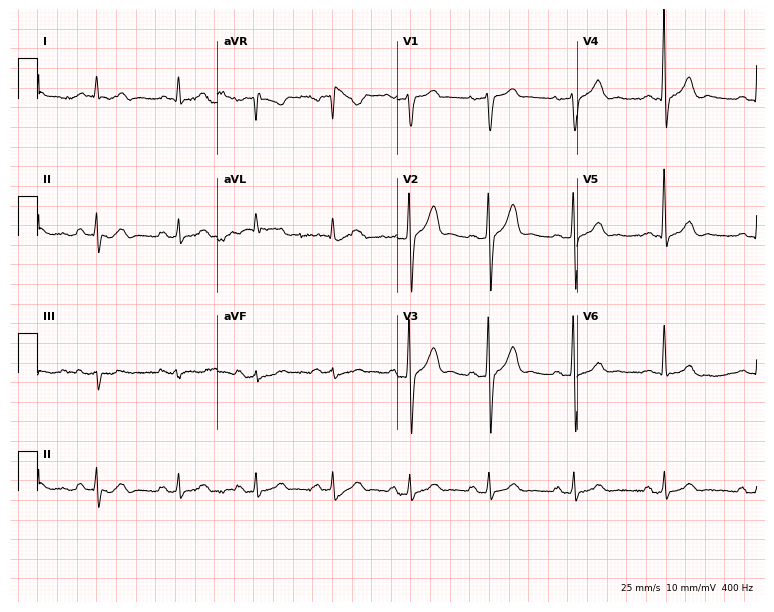
12-lead ECG from a male, 51 years old. Labelled as a normal ECG.